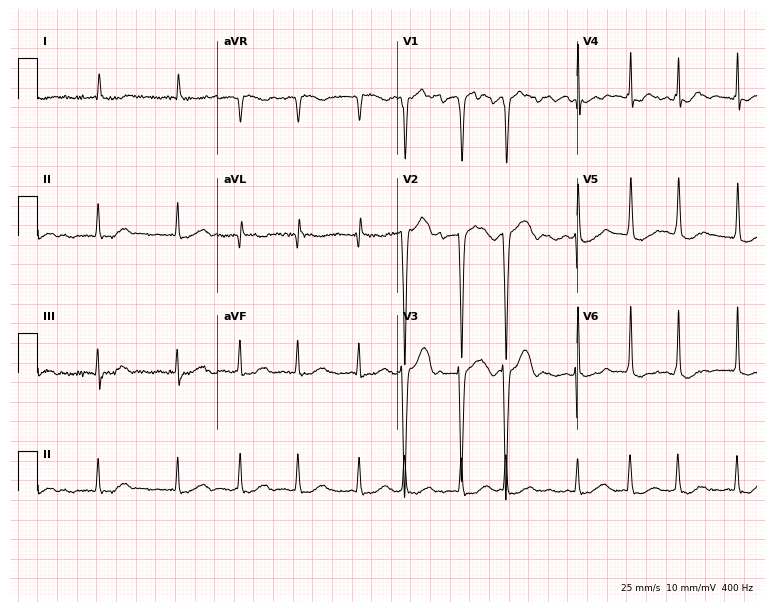
Electrocardiogram (7.3-second recording at 400 Hz), an 84-year-old female. Interpretation includes atrial fibrillation.